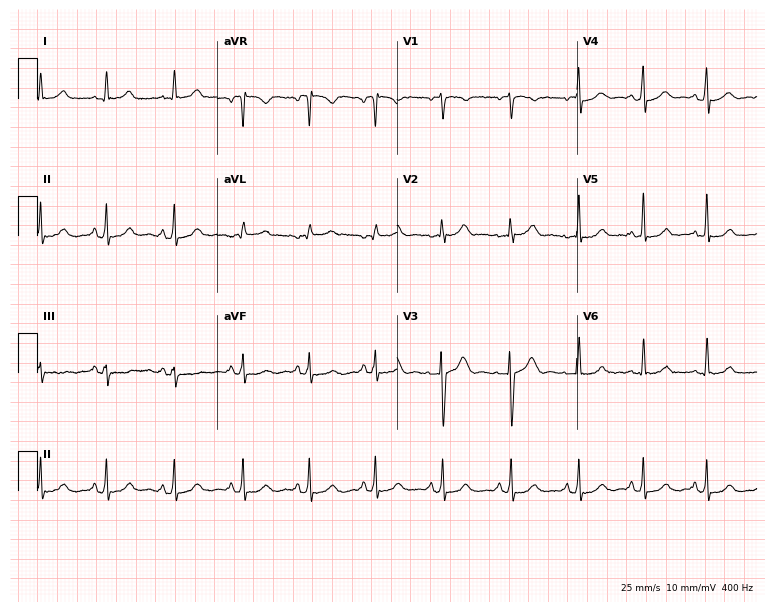
Electrocardiogram (7.3-second recording at 400 Hz), a female patient, 32 years old. Overall reading on record: normal ECG.